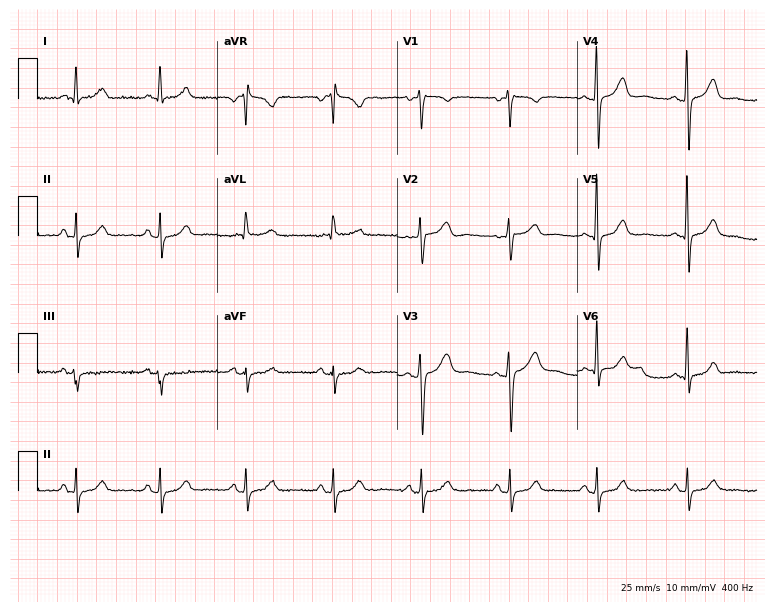
12-lead ECG (7.3-second recording at 400 Hz) from a female, 54 years old. Screened for six findings — first-degree AV block, right bundle branch block, left bundle branch block, sinus bradycardia, atrial fibrillation, sinus tachycardia — none is recorded.